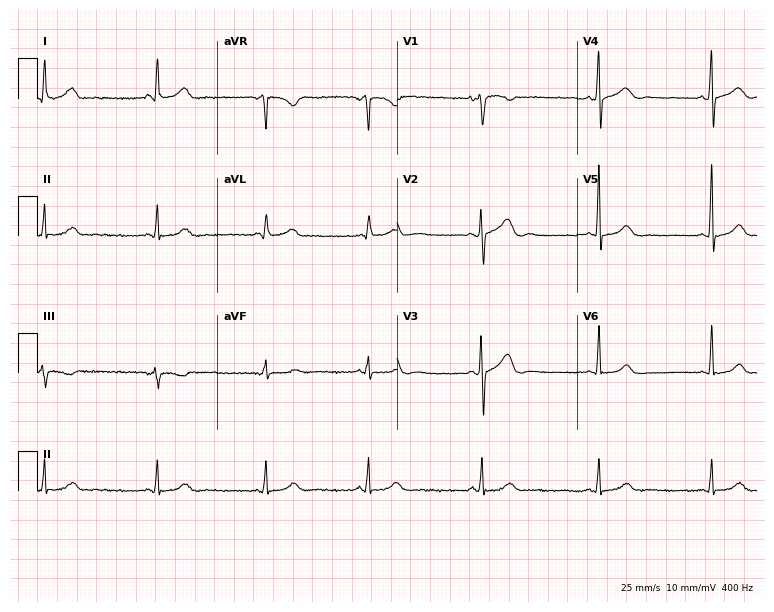
12-lead ECG from a 34-year-old woman (7.3-second recording at 400 Hz). No first-degree AV block, right bundle branch block (RBBB), left bundle branch block (LBBB), sinus bradycardia, atrial fibrillation (AF) or sinus tachycardia recorded for this tracing. Other findings, if any, are not listed.